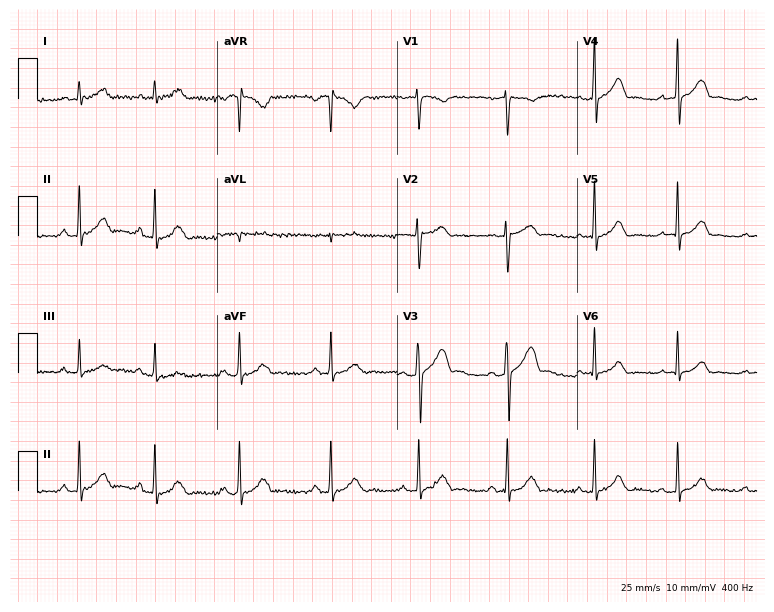
12-lead ECG from a woman, 30 years old. Recorded interpretation: within normal limits.